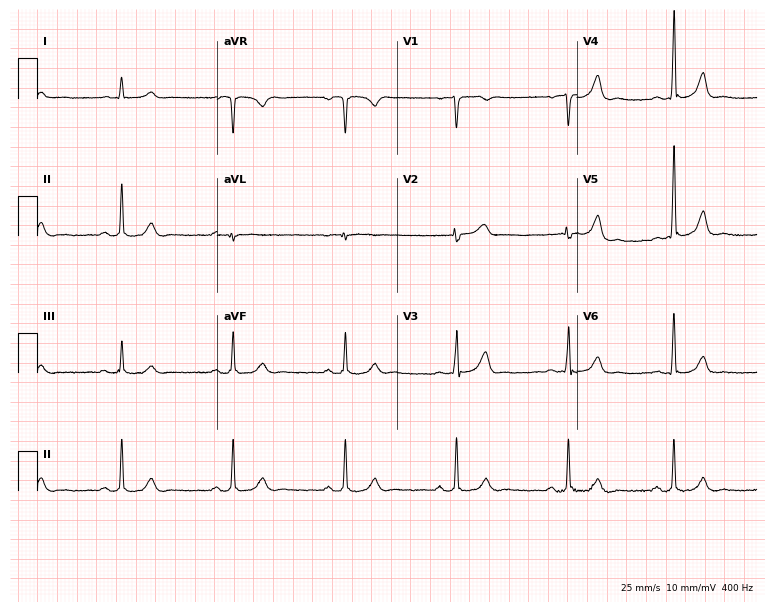
Electrocardiogram, a 67-year-old man. Overall reading on record: normal ECG.